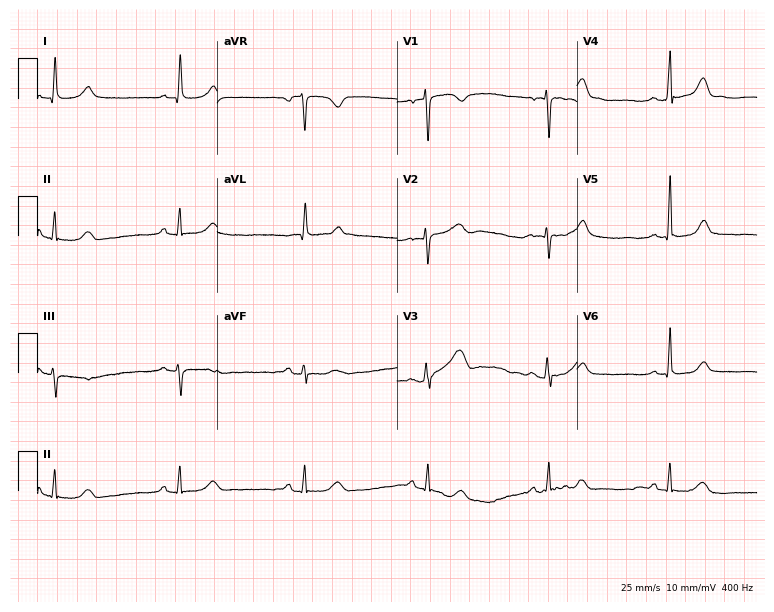
ECG — a 52-year-old woman. Screened for six findings — first-degree AV block, right bundle branch block, left bundle branch block, sinus bradycardia, atrial fibrillation, sinus tachycardia — none is recorded.